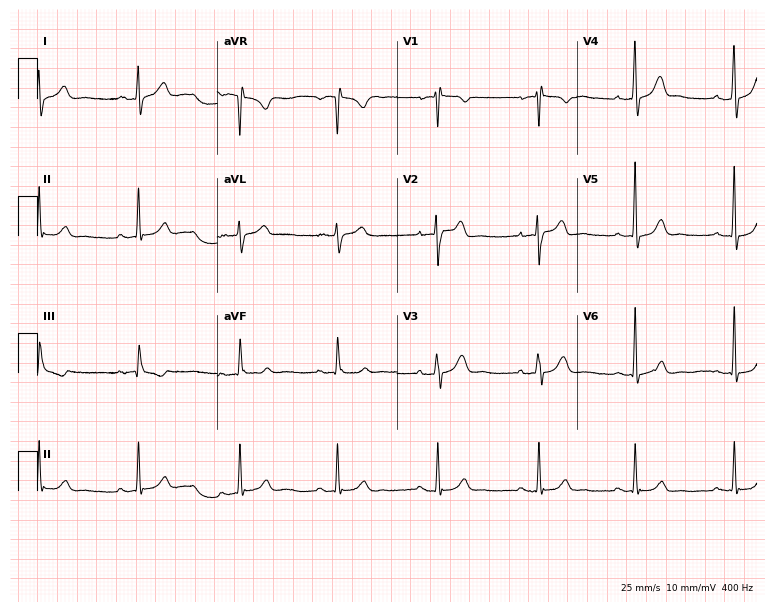
ECG (7.3-second recording at 400 Hz) — a 41-year-old male. Labelled as a normal ECG.